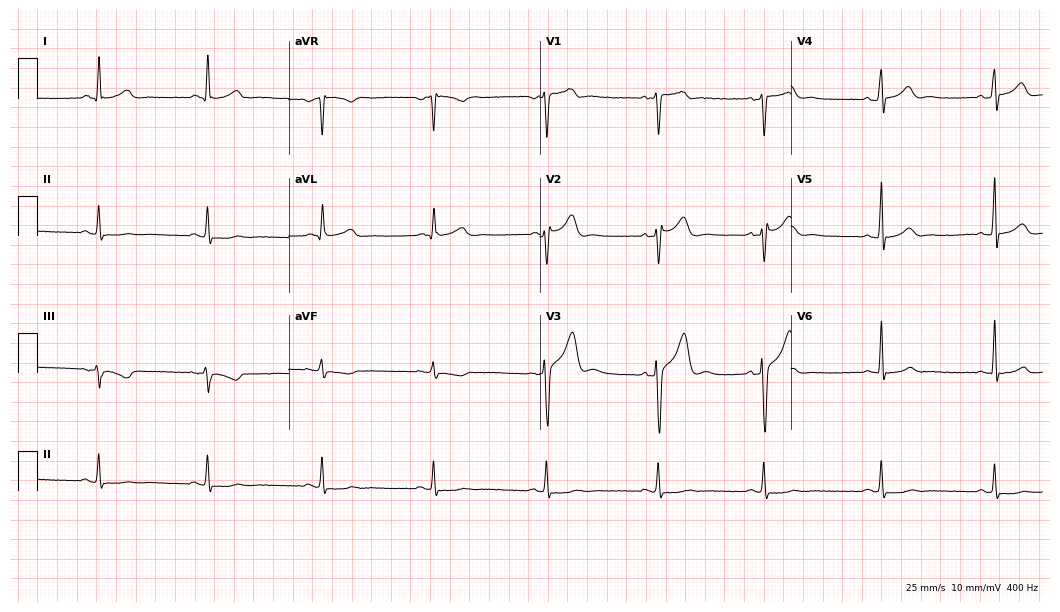
12-lead ECG (10.2-second recording at 400 Hz) from a 30-year-old male patient. Screened for six findings — first-degree AV block, right bundle branch block, left bundle branch block, sinus bradycardia, atrial fibrillation, sinus tachycardia — none is recorded. Other findings, if any, are not listed.